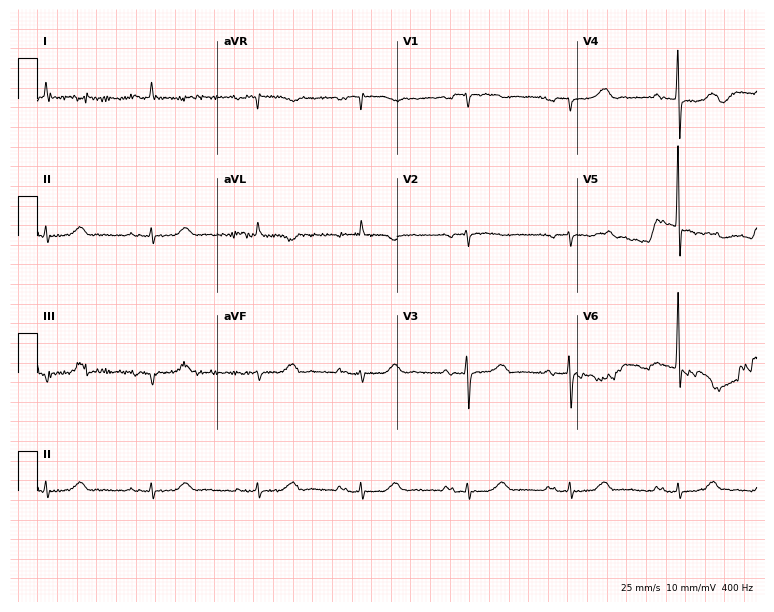
12-lead ECG (7.3-second recording at 400 Hz) from a female, 82 years old. Findings include first-degree AV block.